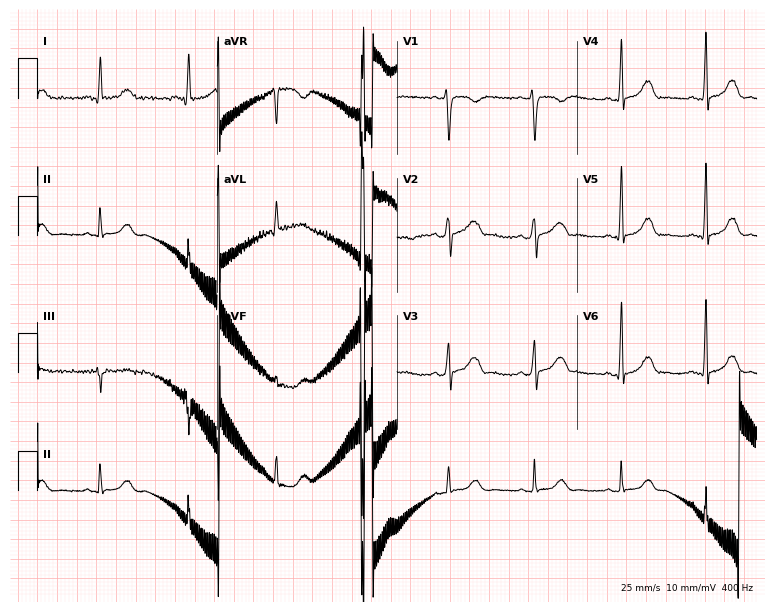
12-lead ECG (7.3-second recording at 400 Hz) from a female, 35 years old. Labelled as a normal ECG.